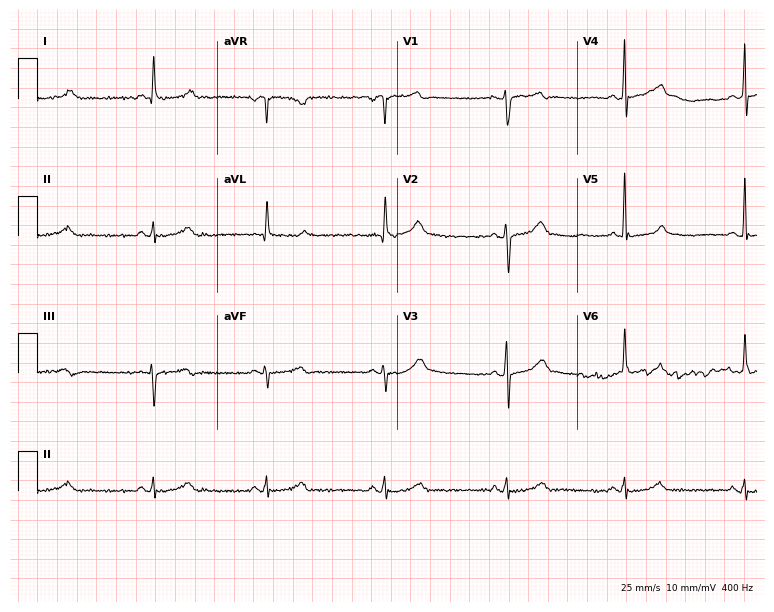
ECG — a 50-year-old man. Screened for six findings — first-degree AV block, right bundle branch block (RBBB), left bundle branch block (LBBB), sinus bradycardia, atrial fibrillation (AF), sinus tachycardia — none is recorded.